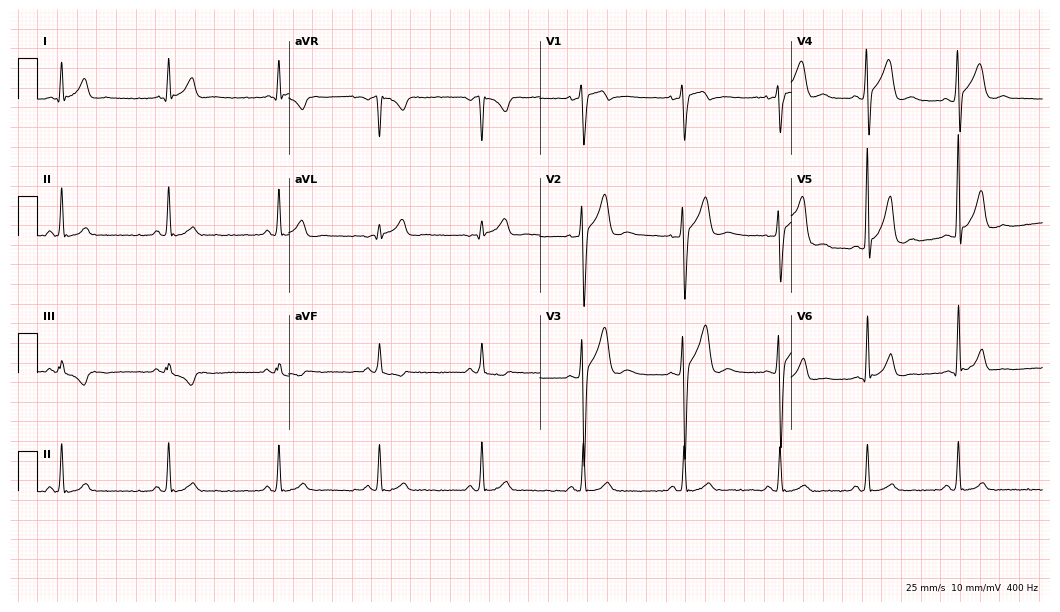
Resting 12-lead electrocardiogram (10.2-second recording at 400 Hz). Patient: a male, 22 years old. None of these six findings is recorded: first-degree AV block, right bundle branch block (RBBB), left bundle branch block (LBBB), sinus bradycardia, atrial fibrillation (AF), sinus tachycardia.